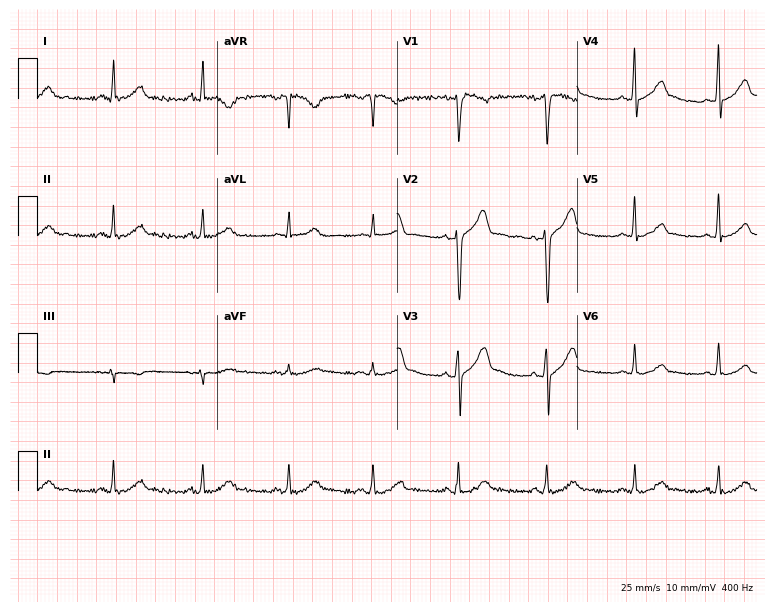
ECG — a 36-year-old female. Labelled as a normal ECG.